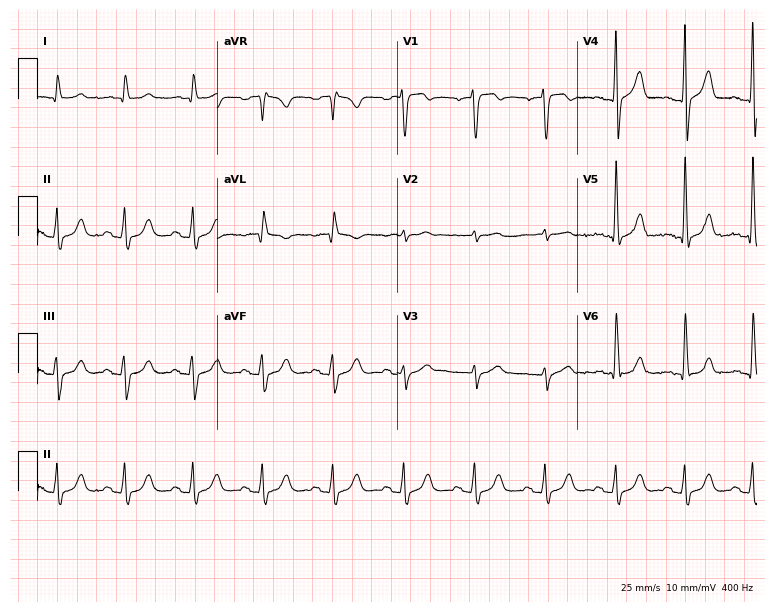
Standard 12-lead ECG recorded from a 65-year-old male patient (7.3-second recording at 400 Hz). Read as a normal ECG.